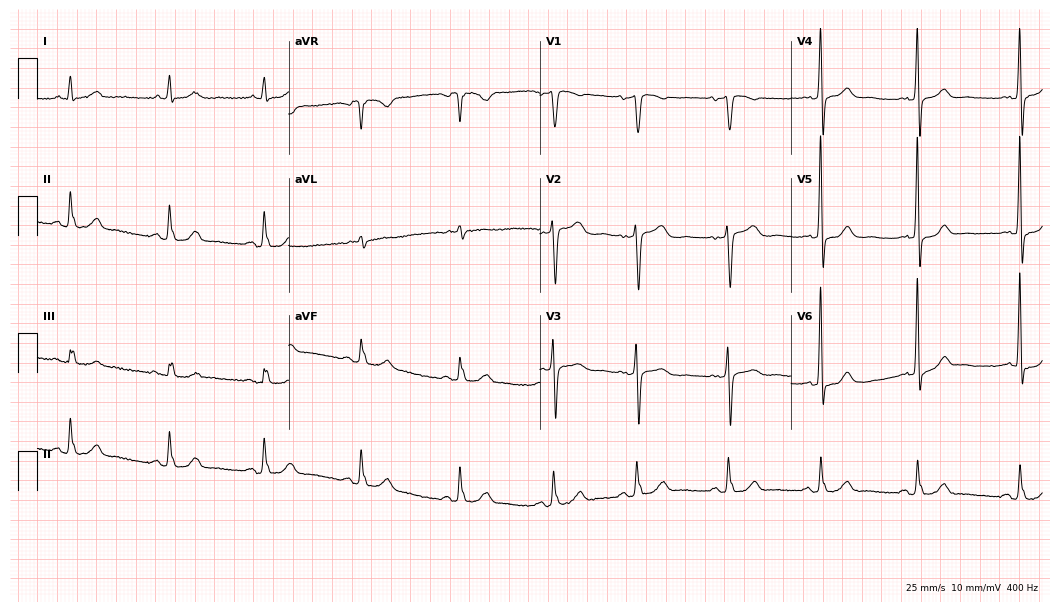
ECG (10.2-second recording at 400 Hz) — a woman, 56 years old. Labelled as a normal ECG.